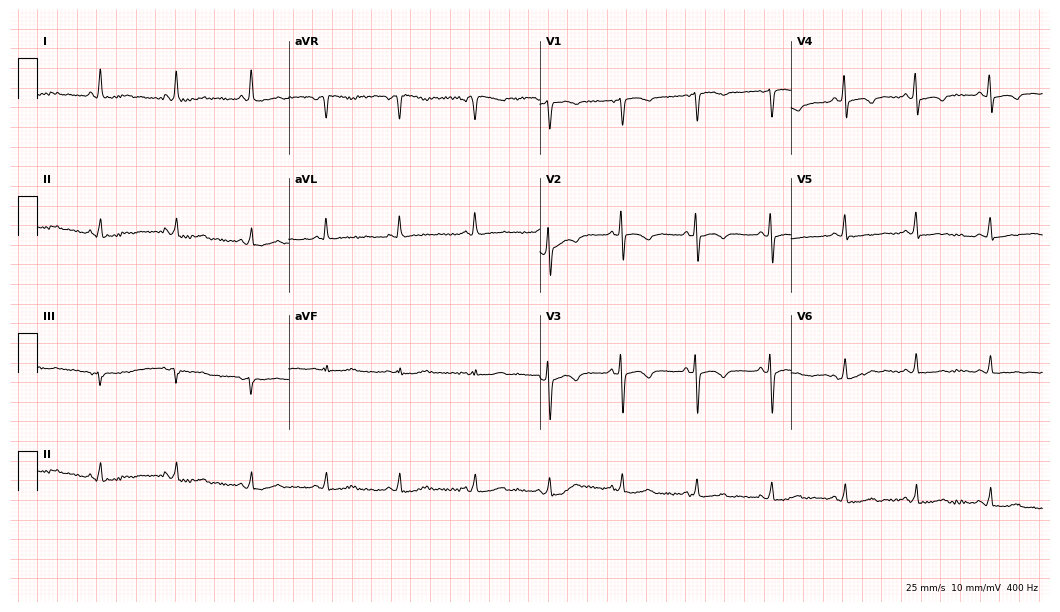
Resting 12-lead electrocardiogram. Patient: a 58-year-old female. None of these six findings is recorded: first-degree AV block, right bundle branch block, left bundle branch block, sinus bradycardia, atrial fibrillation, sinus tachycardia.